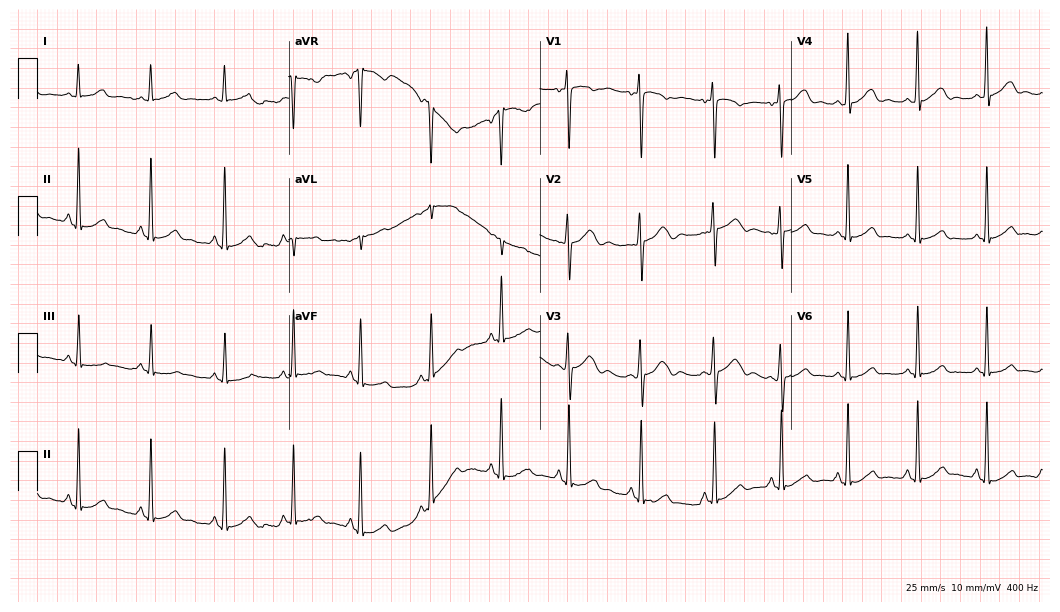
Standard 12-lead ECG recorded from an 18-year-old female. Read as a normal ECG.